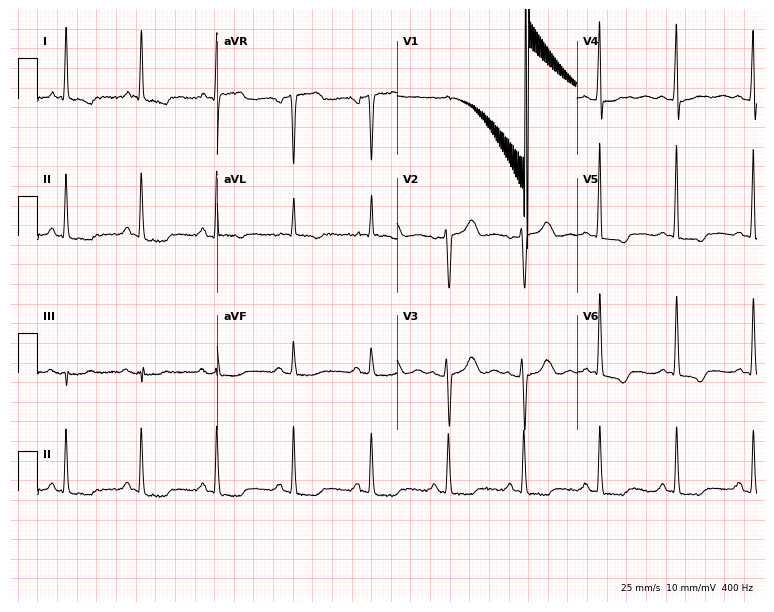
12-lead ECG from a female patient, 50 years old (7.3-second recording at 400 Hz). No first-degree AV block, right bundle branch block (RBBB), left bundle branch block (LBBB), sinus bradycardia, atrial fibrillation (AF) or sinus tachycardia recorded for this tracing.